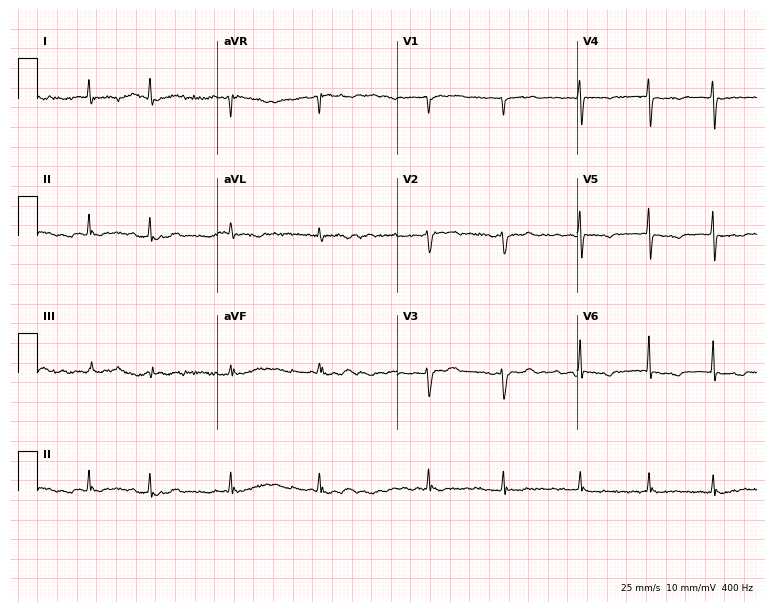
12-lead ECG from a 76-year-old female patient (7.3-second recording at 400 Hz). Shows atrial fibrillation.